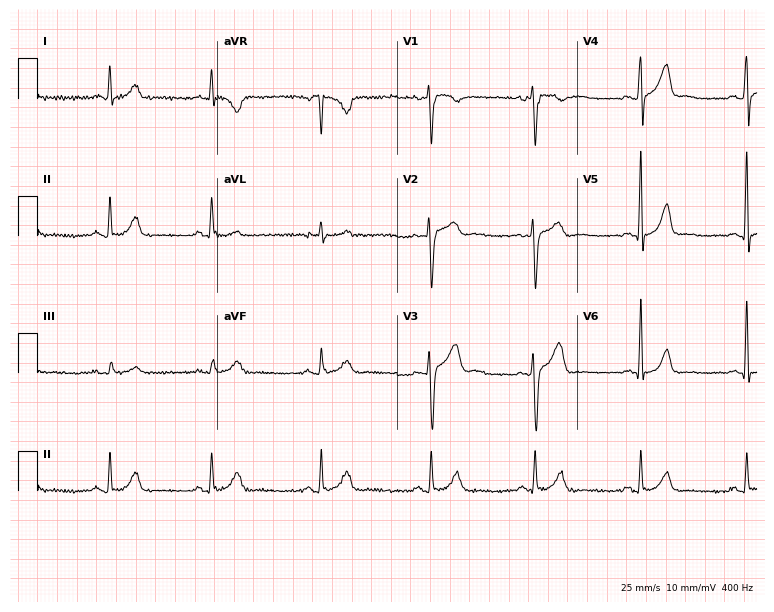
12-lead ECG from a 39-year-old male patient. Labelled as a normal ECG.